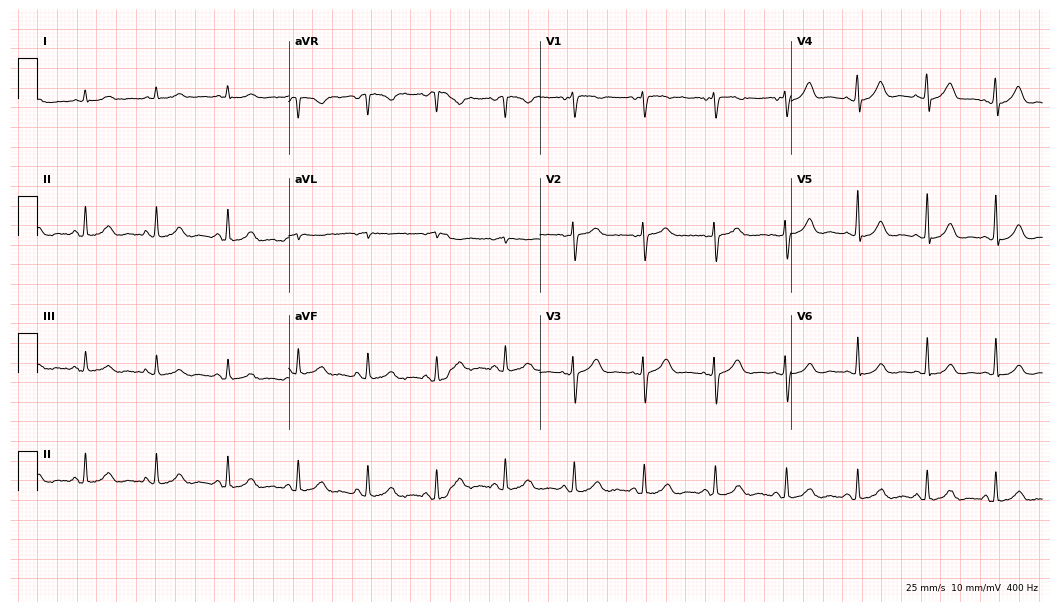
12-lead ECG (10.2-second recording at 400 Hz) from a male patient, 67 years old. Labelled as a normal ECG.